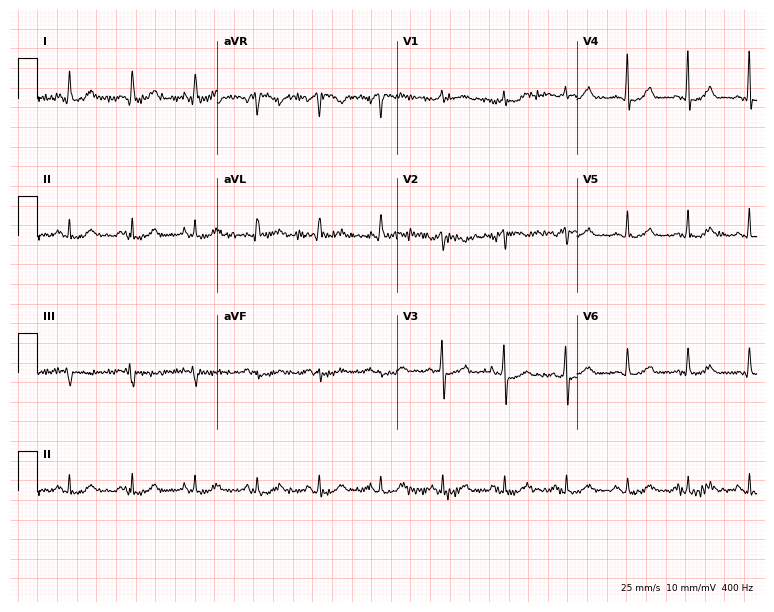
Standard 12-lead ECG recorded from a female, 59 years old (7.3-second recording at 400 Hz). Read as a normal ECG.